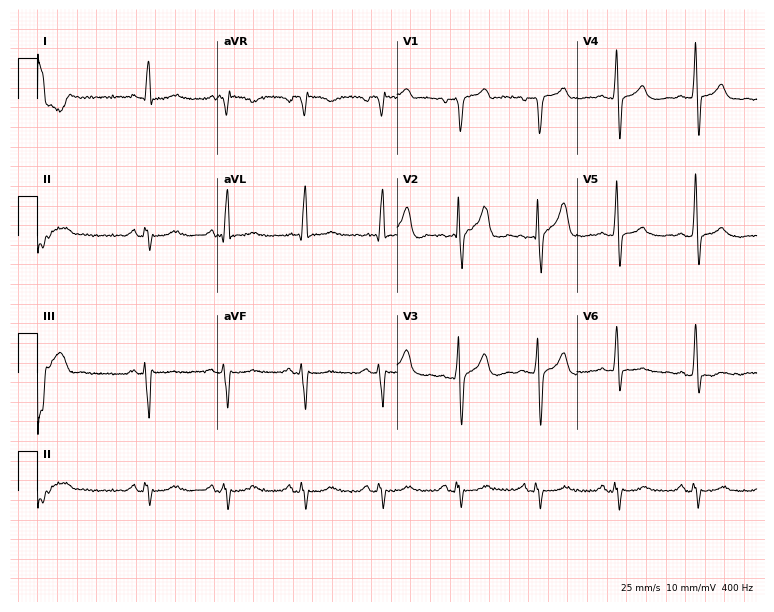
ECG (7.3-second recording at 400 Hz) — a male, 59 years old. Screened for six findings — first-degree AV block, right bundle branch block, left bundle branch block, sinus bradycardia, atrial fibrillation, sinus tachycardia — none is recorded.